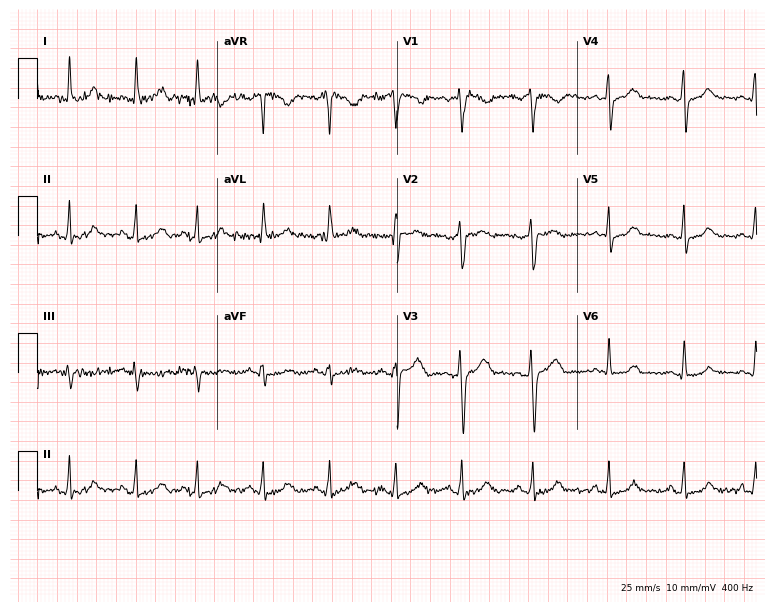
12-lead ECG from a 35-year-old female patient. Recorded interpretation: within normal limits.